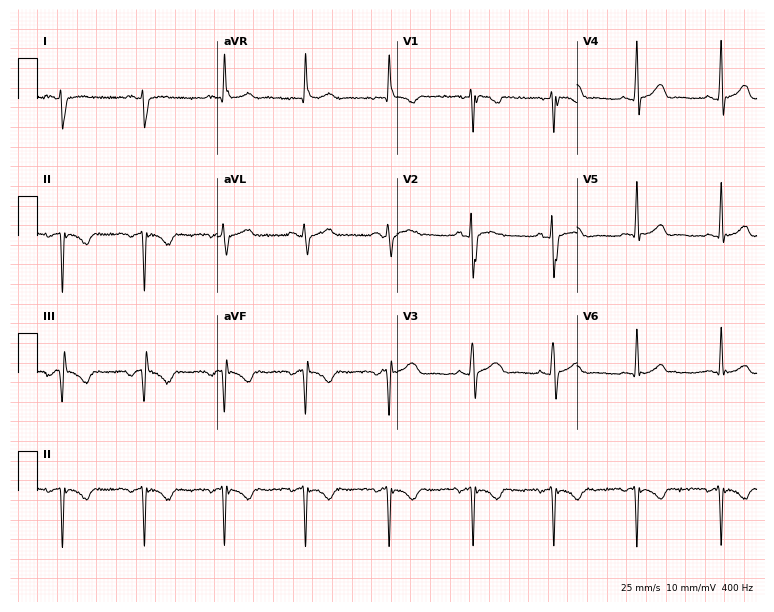
Electrocardiogram (7.3-second recording at 400 Hz), a female patient, 18 years old. Of the six screened findings (first-degree AV block, right bundle branch block (RBBB), left bundle branch block (LBBB), sinus bradycardia, atrial fibrillation (AF), sinus tachycardia), none is recorded. Other findings, if any, are not listed.